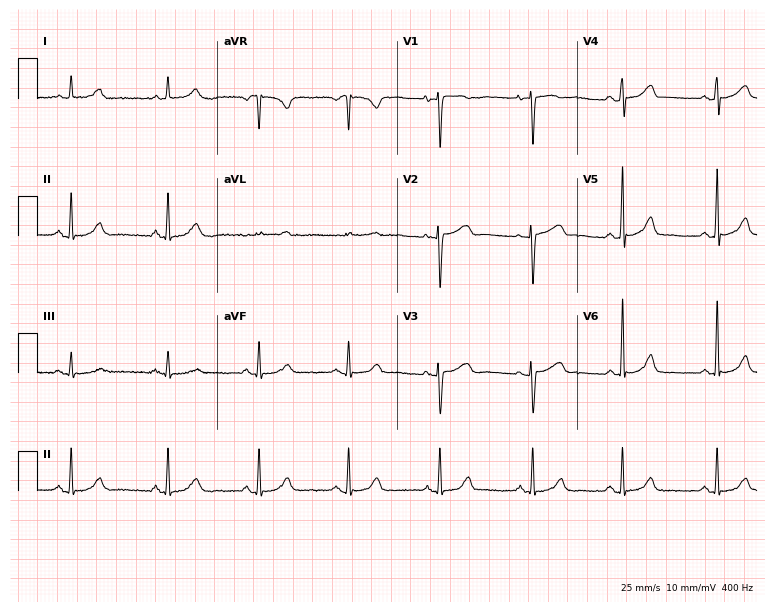
12-lead ECG from a 70-year-old woman. Labelled as a normal ECG.